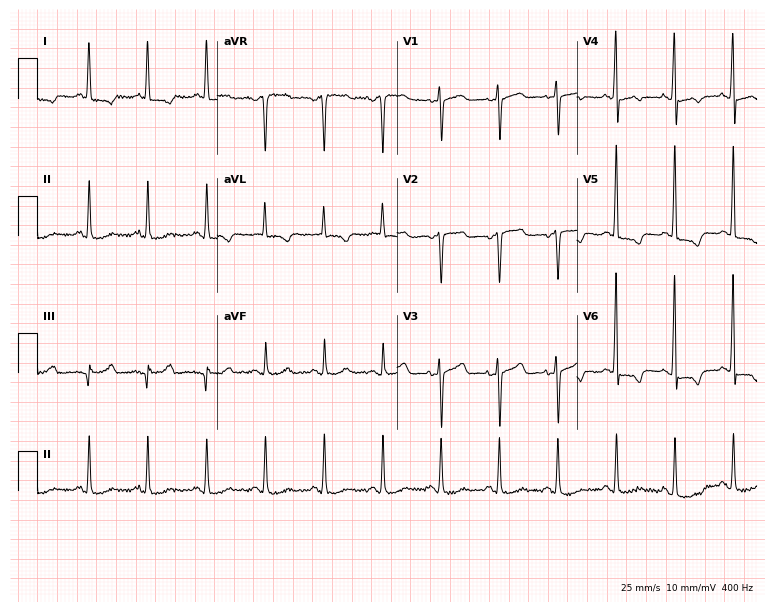
12-lead ECG from a 71-year-old female patient. Findings include sinus tachycardia (a sinus rate of 100 beats per minute or more).